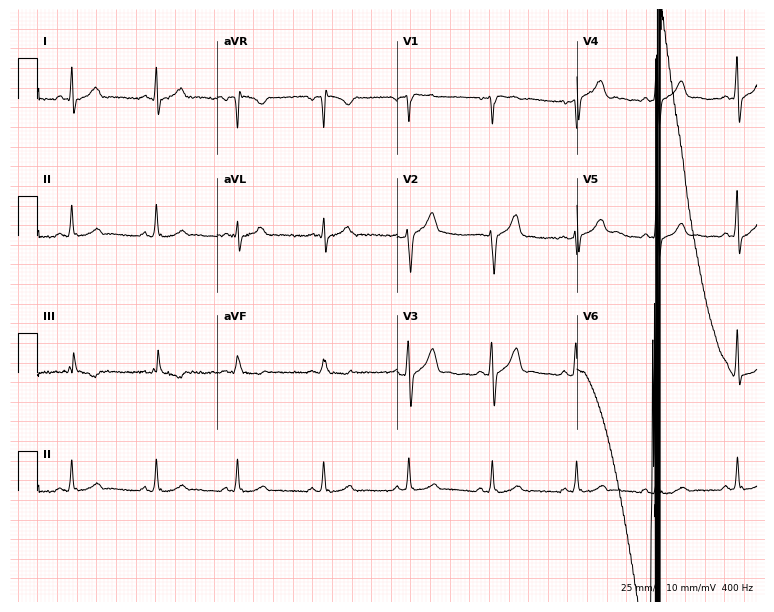
ECG — a 41-year-old man. Labelled as a normal ECG.